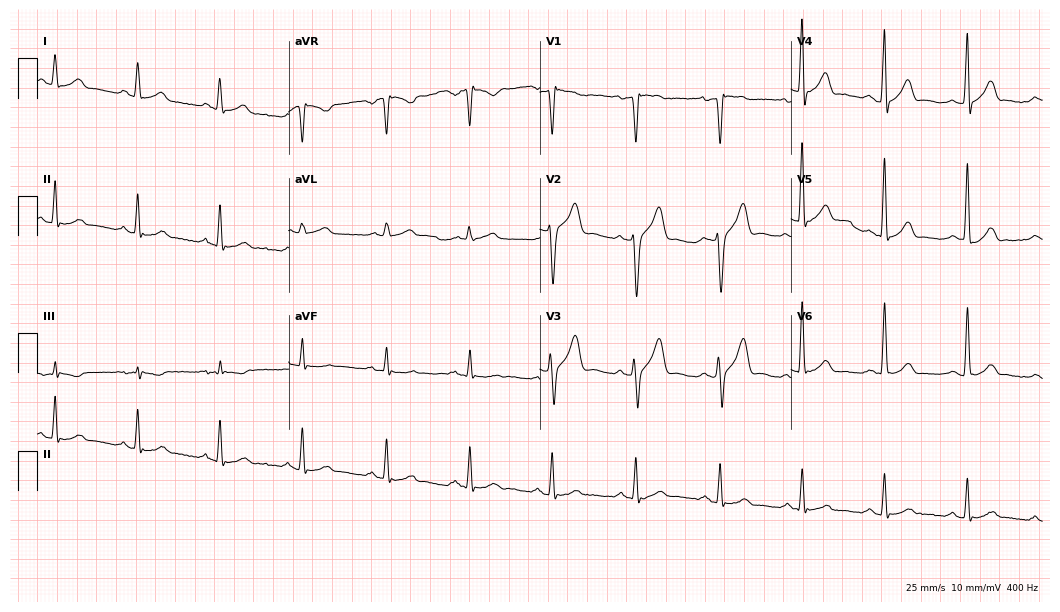
12-lead ECG from a male, 48 years old (10.2-second recording at 400 Hz). No first-degree AV block, right bundle branch block, left bundle branch block, sinus bradycardia, atrial fibrillation or sinus tachycardia recorded for this tracing.